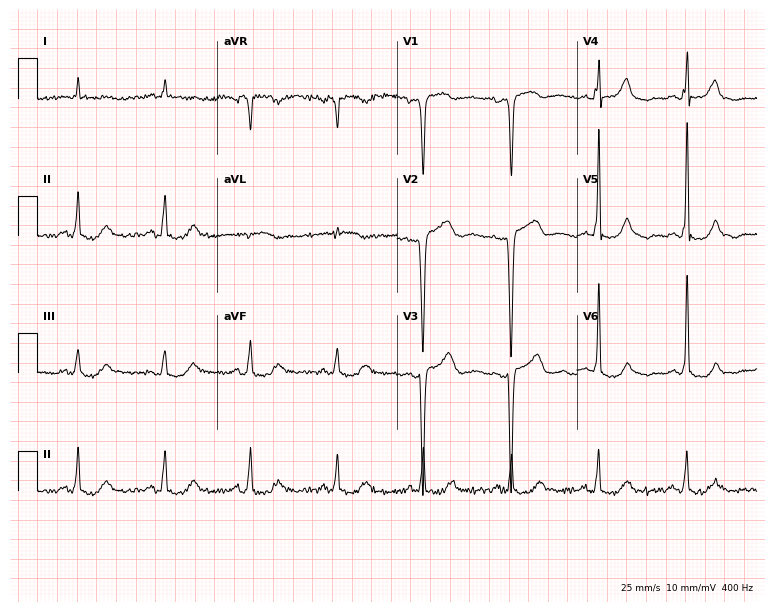
Electrocardiogram, an 84-year-old woman. Of the six screened findings (first-degree AV block, right bundle branch block (RBBB), left bundle branch block (LBBB), sinus bradycardia, atrial fibrillation (AF), sinus tachycardia), none is recorded.